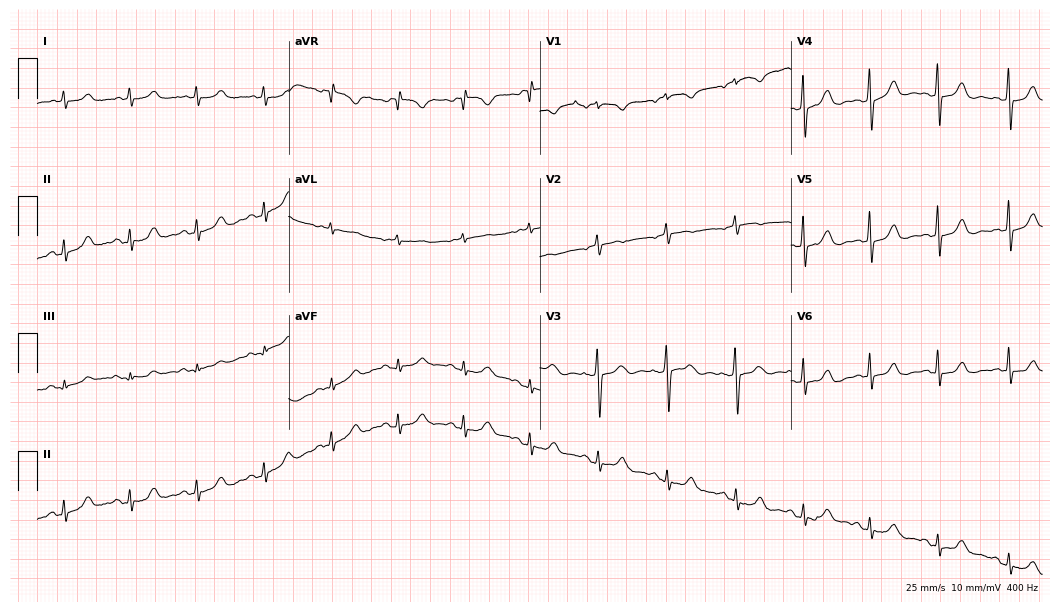
Standard 12-lead ECG recorded from a female patient, 66 years old. Read as a normal ECG.